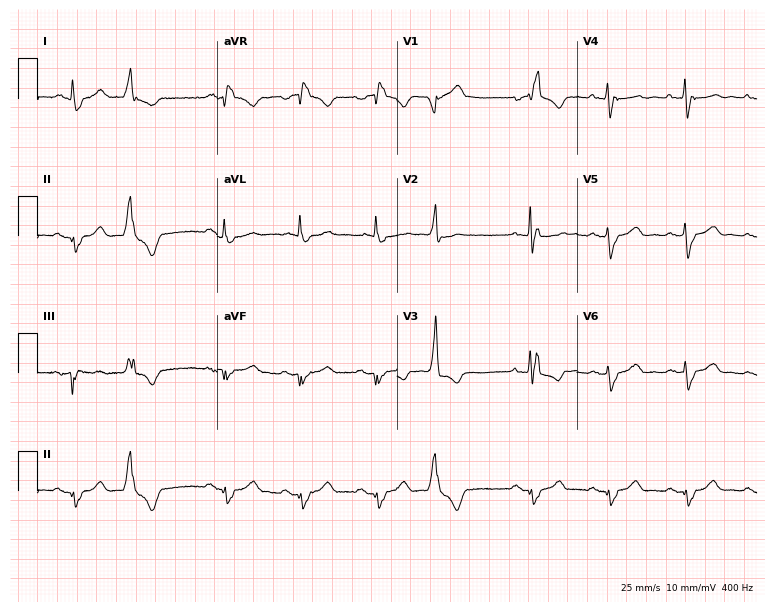
Standard 12-lead ECG recorded from a man, 82 years old. The tracing shows right bundle branch block.